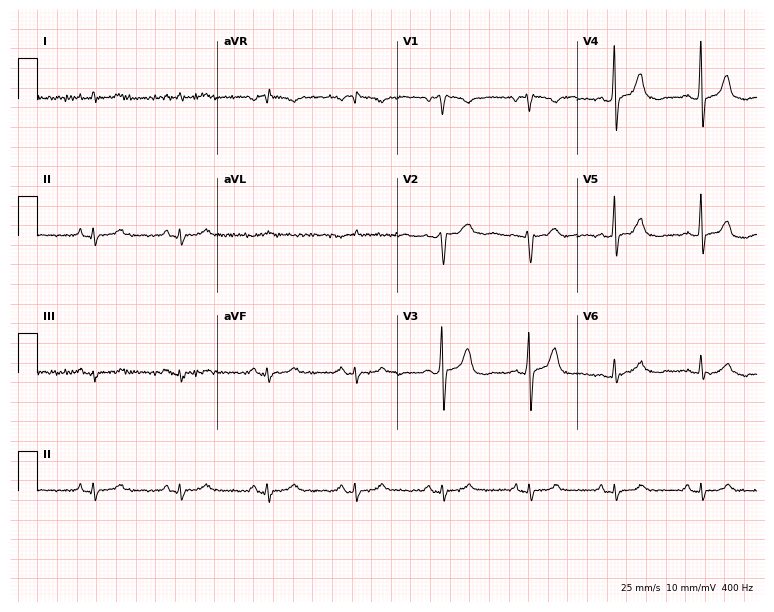
Electrocardiogram, an 84-year-old male patient. Of the six screened findings (first-degree AV block, right bundle branch block, left bundle branch block, sinus bradycardia, atrial fibrillation, sinus tachycardia), none is recorded.